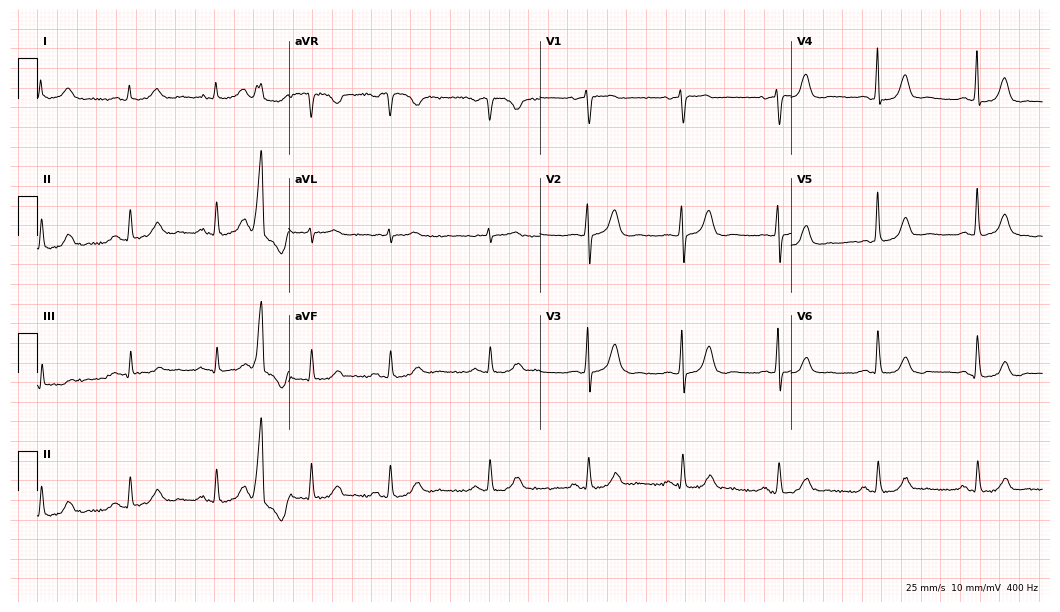
Resting 12-lead electrocardiogram (10.2-second recording at 400 Hz). Patient: a female, 61 years old. None of these six findings is recorded: first-degree AV block, right bundle branch block, left bundle branch block, sinus bradycardia, atrial fibrillation, sinus tachycardia. Other findings, if any, are not listed.